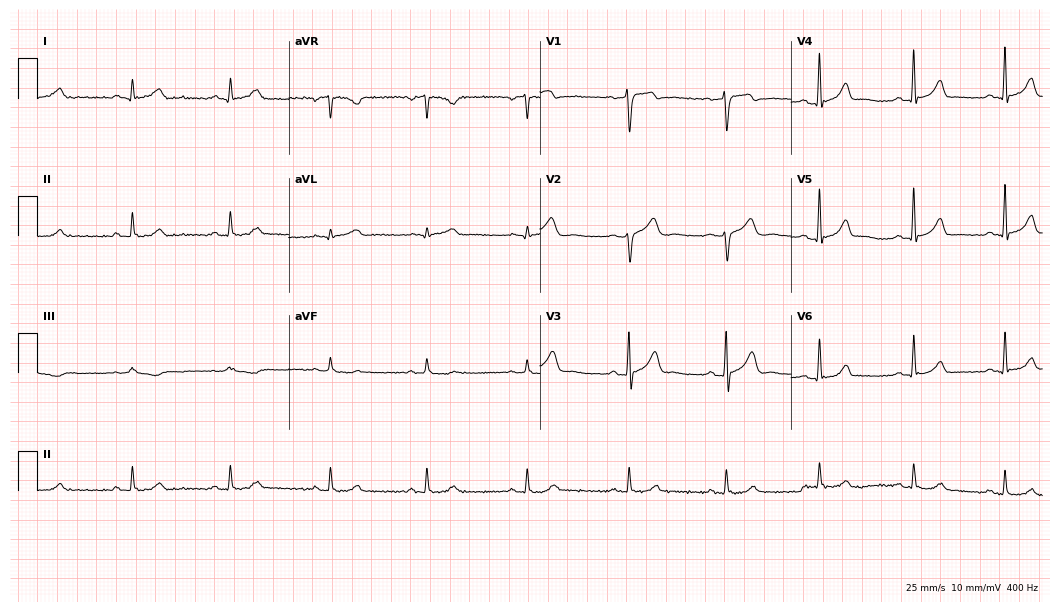
12-lead ECG from a 34-year-old male. Recorded interpretation: within normal limits.